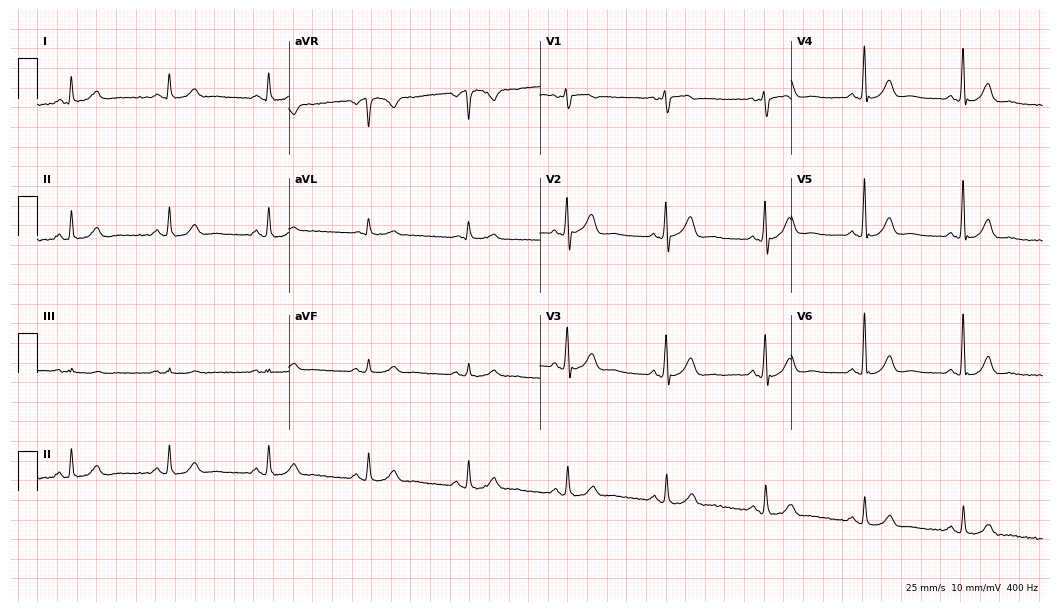
Electrocardiogram, a man, 55 years old. Overall reading on record: normal ECG.